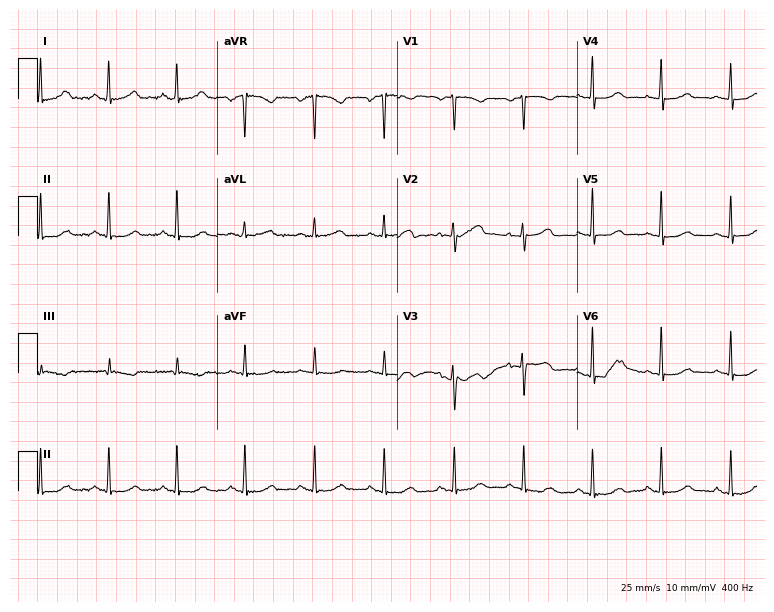
Standard 12-lead ECG recorded from a 44-year-old female patient (7.3-second recording at 400 Hz). Read as a normal ECG.